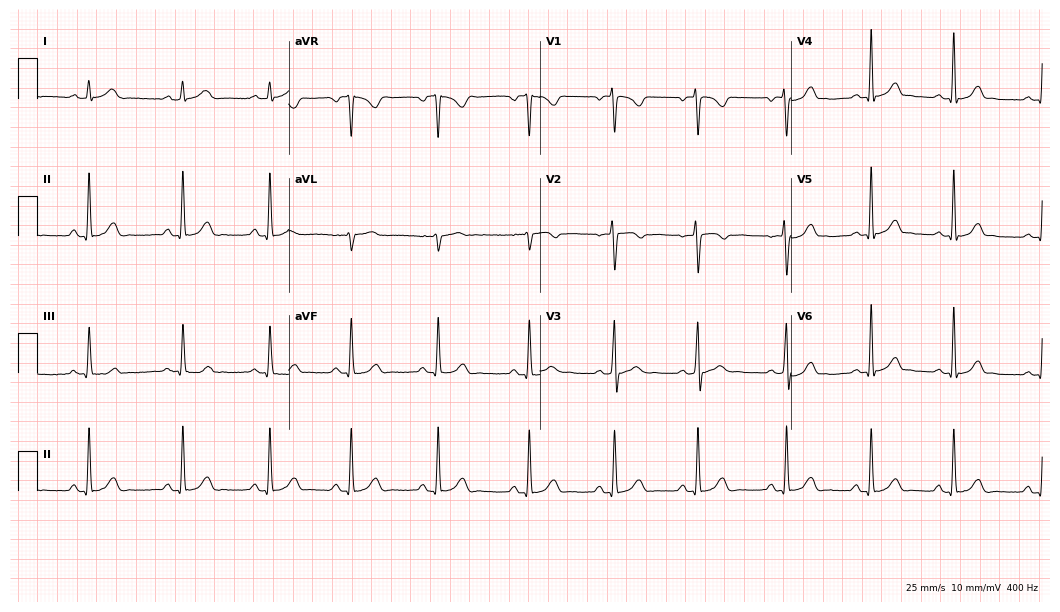
Resting 12-lead electrocardiogram (10.2-second recording at 400 Hz). Patient: a female, 19 years old. Read as a normal ECG.